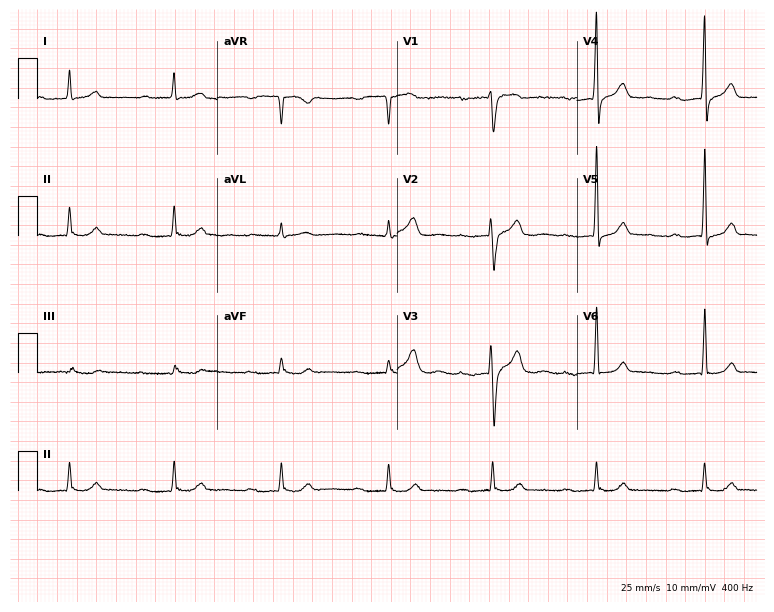
Resting 12-lead electrocardiogram. Patient: a 66-year-old man. None of these six findings is recorded: first-degree AV block, right bundle branch block, left bundle branch block, sinus bradycardia, atrial fibrillation, sinus tachycardia. Findings outside these six are not listed.